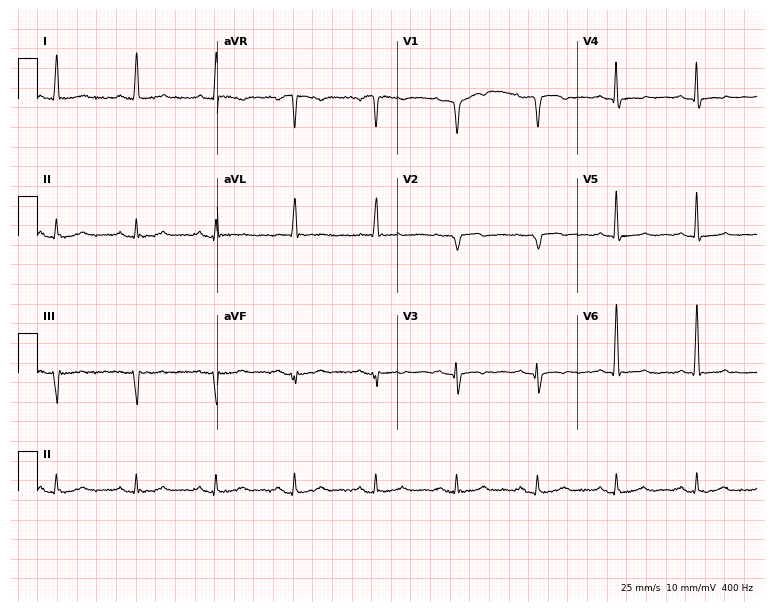
12-lead ECG from a woman, 65 years old. No first-degree AV block, right bundle branch block, left bundle branch block, sinus bradycardia, atrial fibrillation or sinus tachycardia recorded for this tracing. Other findings, if any, are not listed.